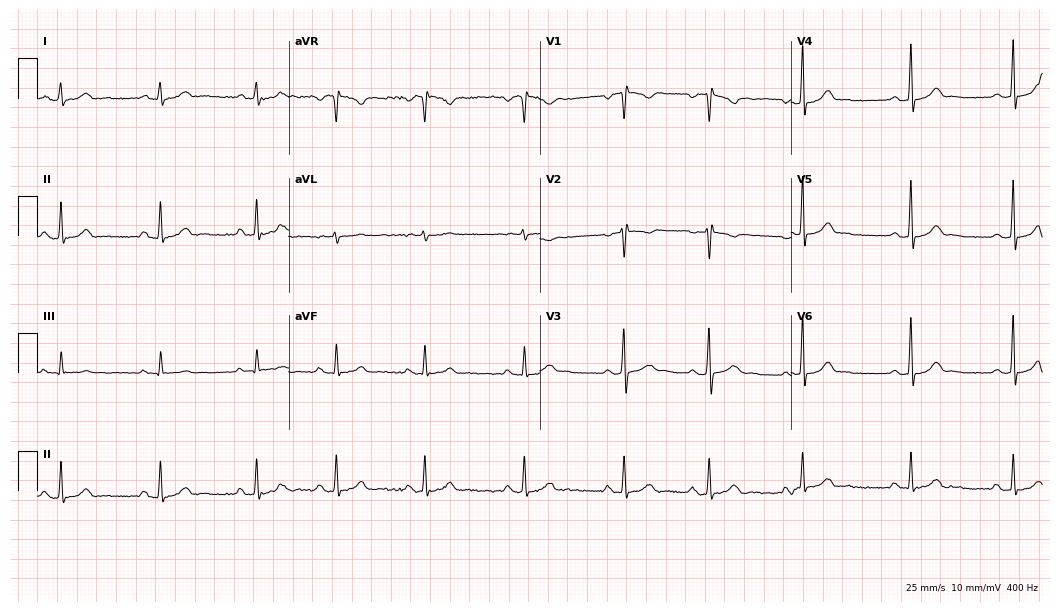
Resting 12-lead electrocardiogram (10.2-second recording at 400 Hz). Patient: a 17-year-old female. None of these six findings is recorded: first-degree AV block, right bundle branch block, left bundle branch block, sinus bradycardia, atrial fibrillation, sinus tachycardia.